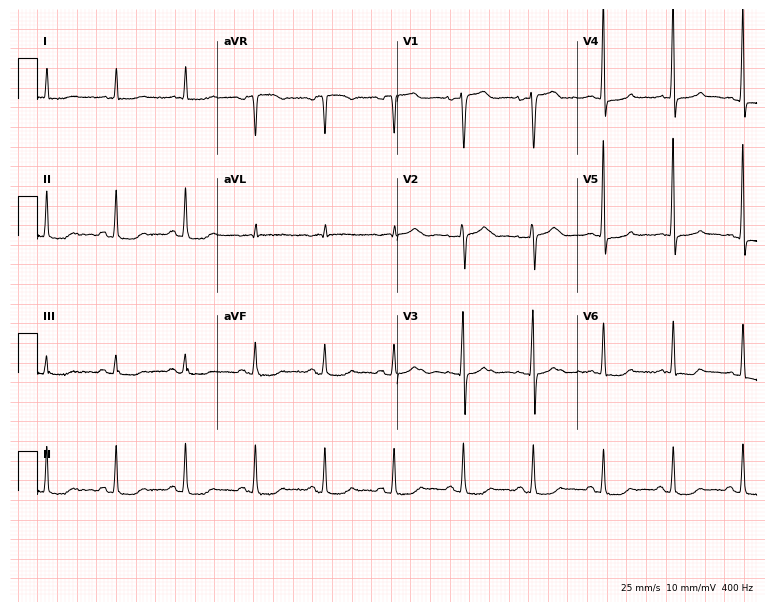
Standard 12-lead ECG recorded from a female patient, 83 years old. None of these six findings is recorded: first-degree AV block, right bundle branch block (RBBB), left bundle branch block (LBBB), sinus bradycardia, atrial fibrillation (AF), sinus tachycardia. Only these six findings were labelled.